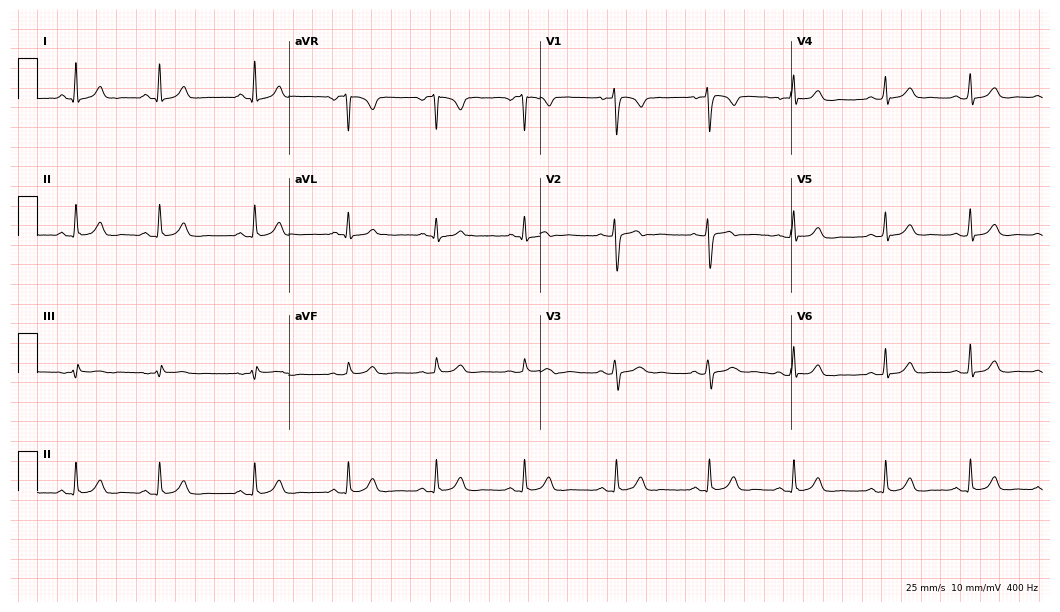
12-lead ECG (10.2-second recording at 400 Hz) from a female patient, 30 years old. Labelled as a normal ECG.